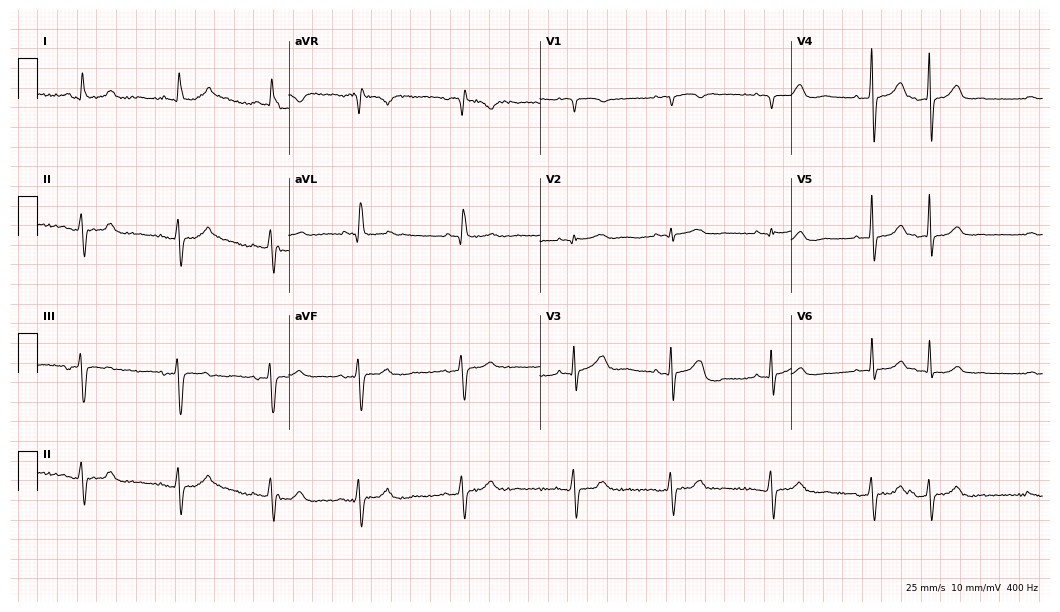
Standard 12-lead ECG recorded from a 75-year-old female patient. None of these six findings is recorded: first-degree AV block, right bundle branch block (RBBB), left bundle branch block (LBBB), sinus bradycardia, atrial fibrillation (AF), sinus tachycardia. Only these six findings were labelled.